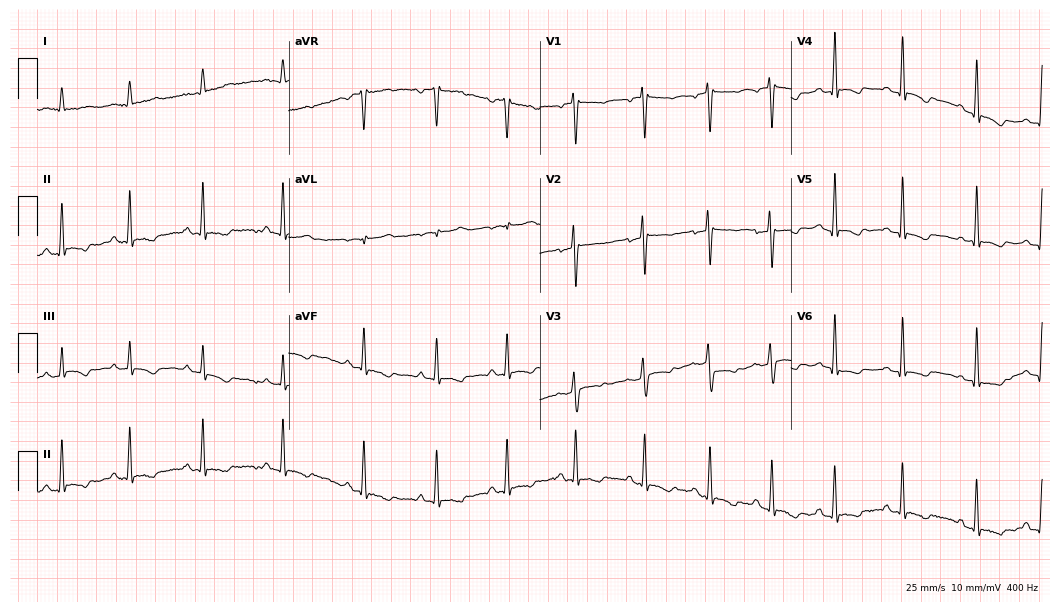
ECG (10.2-second recording at 400 Hz) — a 21-year-old female patient. Screened for six findings — first-degree AV block, right bundle branch block, left bundle branch block, sinus bradycardia, atrial fibrillation, sinus tachycardia — none is recorded.